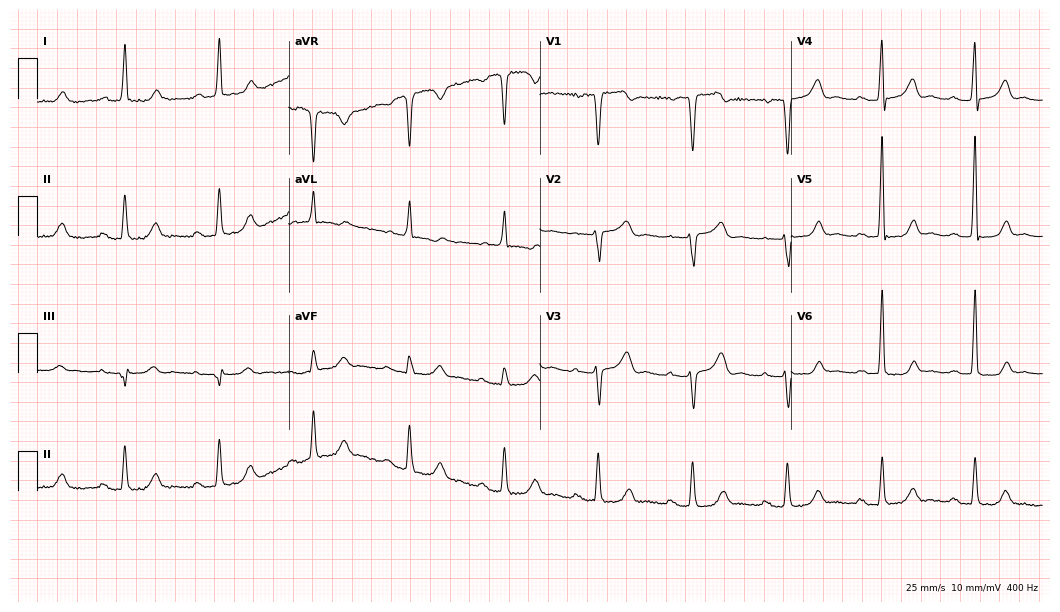
Electrocardiogram, a 79-year-old female. Interpretation includes first-degree AV block.